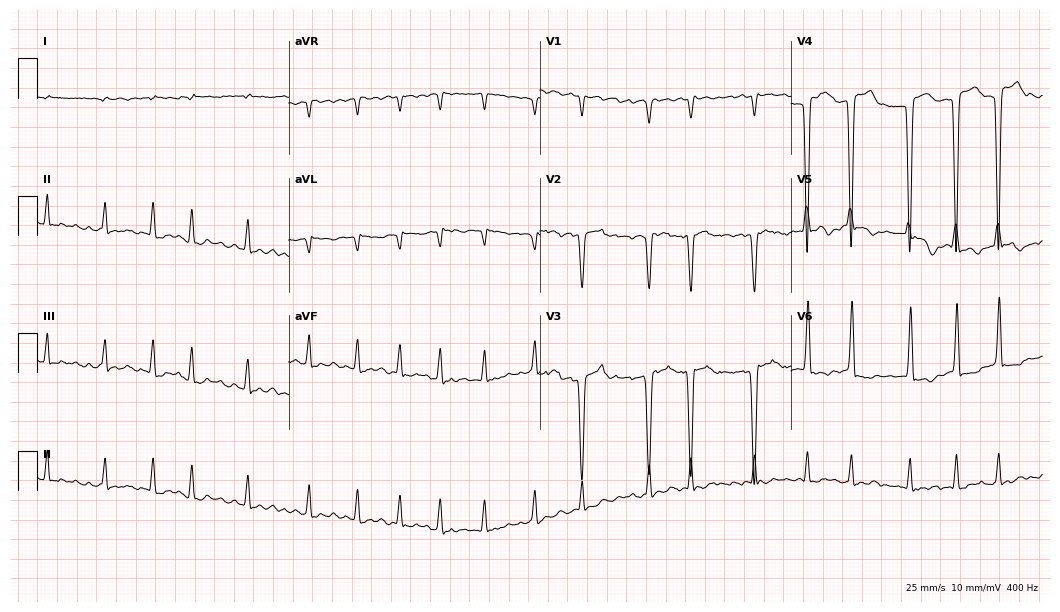
ECG (10.2-second recording at 400 Hz) — a man, 48 years old. Findings include atrial fibrillation.